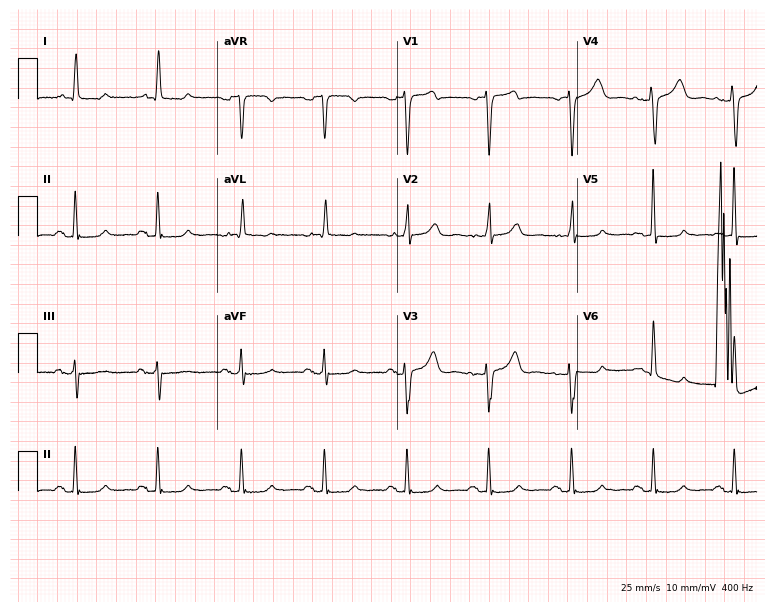
Resting 12-lead electrocardiogram. Patient: a female, 71 years old. Read as a normal ECG.